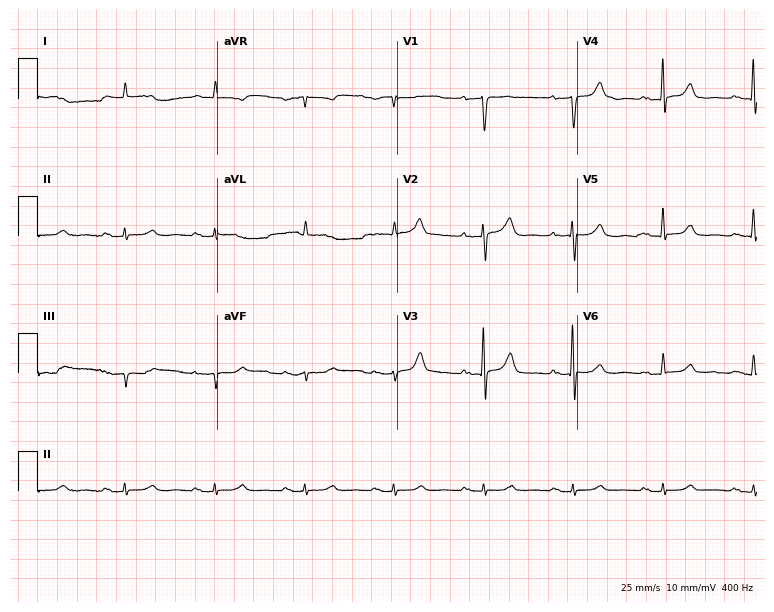
Resting 12-lead electrocardiogram. Patient: a male, 82 years old. None of these six findings is recorded: first-degree AV block, right bundle branch block, left bundle branch block, sinus bradycardia, atrial fibrillation, sinus tachycardia.